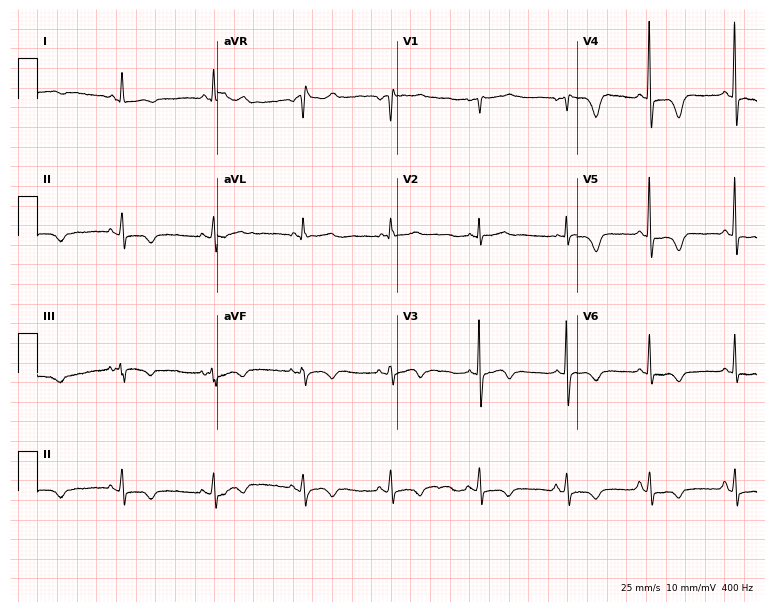
Electrocardiogram, a woman, 69 years old. Of the six screened findings (first-degree AV block, right bundle branch block, left bundle branch block, sinus bradycardia, atrial fibrillation, sinus tachycardia), none is recorded.